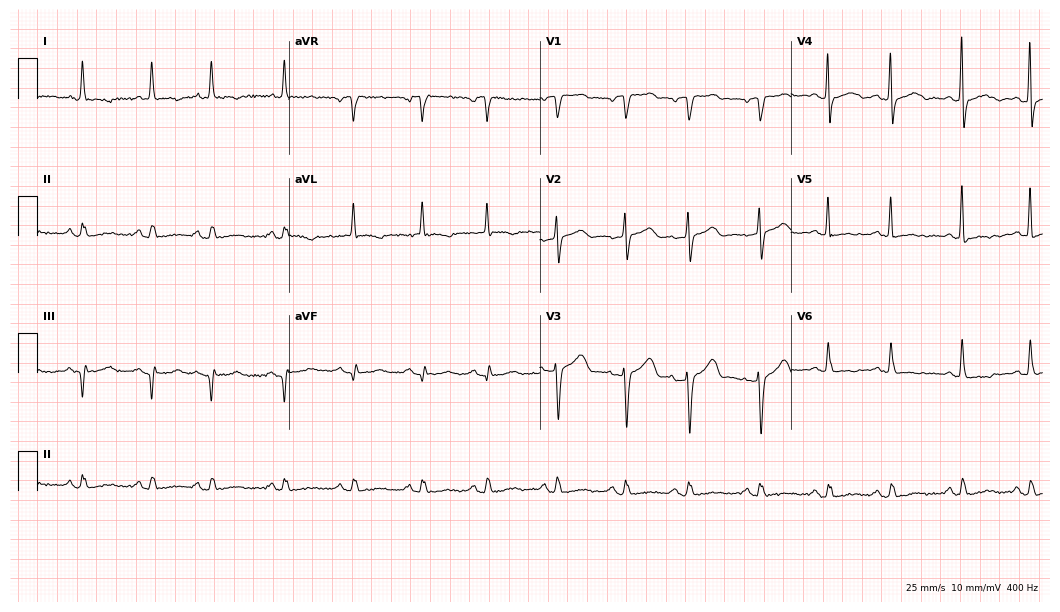
Resting 12-lead electrocardiogram (10.2-second recording at 400 Hz). Patient: a woman, 70 years old. None of these six findings is recorded: first-degree AV block, right bundle branch block, left bundle branch block, sinus bradycardia, atrial fibrillation, sinus tachycardia. Findings outside these six are not listed.